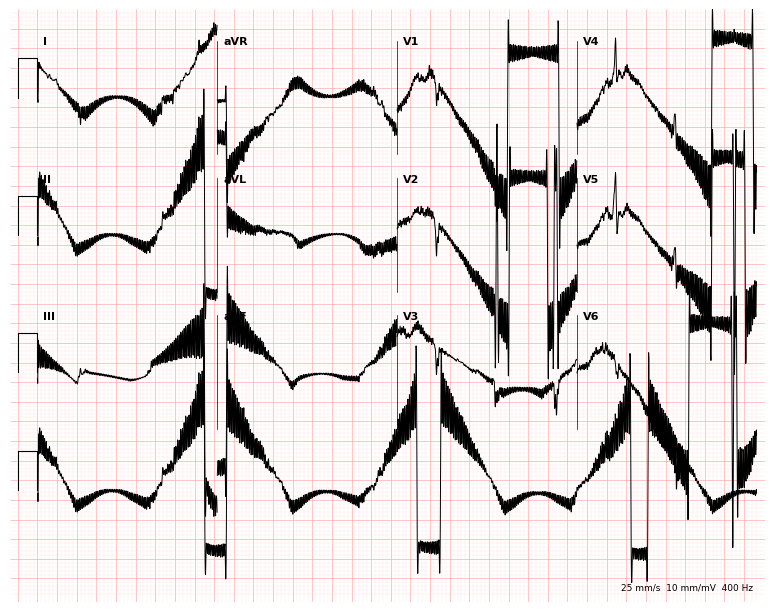
Standard 12-lead ECG recorded from a female, 47 years old (7.3-second recording at 400 Hz). None of these six findings is recorded: first-degree AV block, right bundle branch block (RBBB), left bundle branch block (LBBB), sinus bradycardia, atrial fibrillation (AF), sinus tachycardia. Other findings, if any, are not listed.